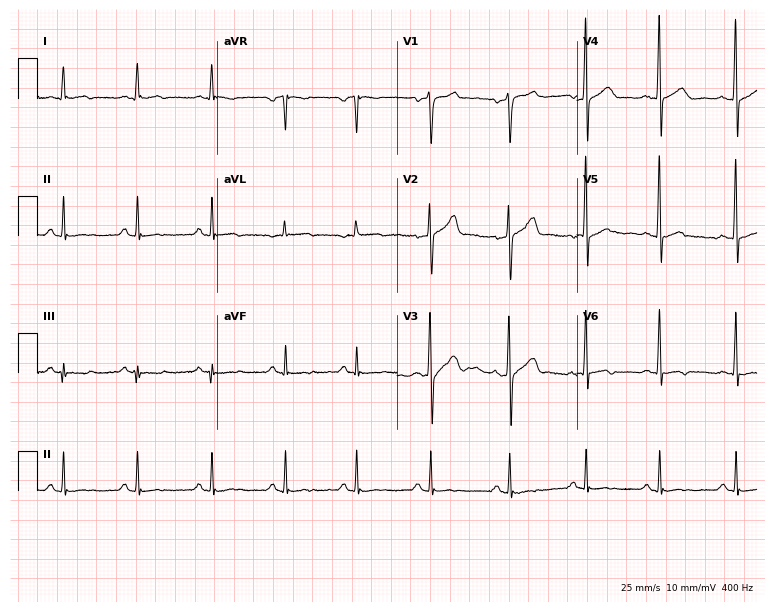
ECG — a man, 50 years old. Screened for six findings — first-degree AV block, right bundle branch block (RBBB), left bundle branch block (LBBB), sinus bradycardia, atrial fibrillation (AF), sinus tachycardia — none is recorded. Only these six findings were labelled.